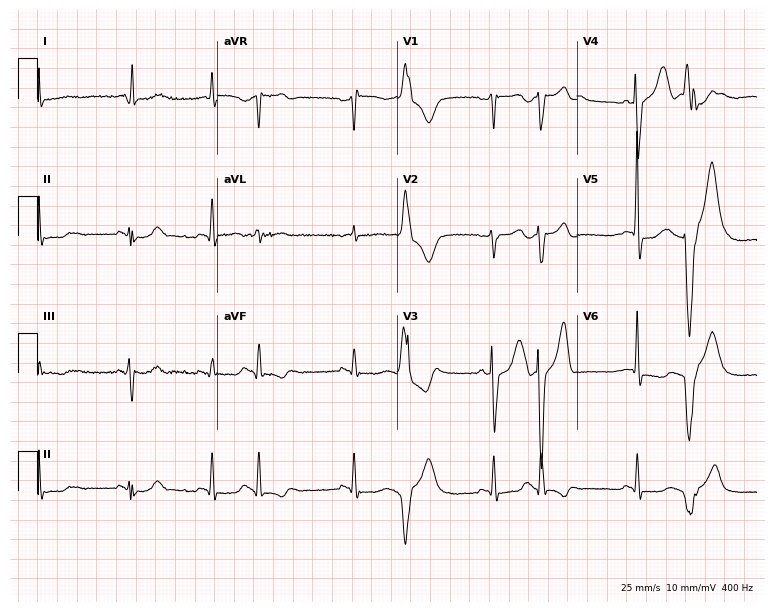
Resting 12-lead electrocardiogram (7.3-second recording at 400 Hz). Patient: a man, 80 years old. None of these six findings is recorded: first-degree AV block, right bundle branch block, left bundle branch block, sinus bradycardia, atrial fibrillation, sinus tachycardia. Only these six findings were labelled.